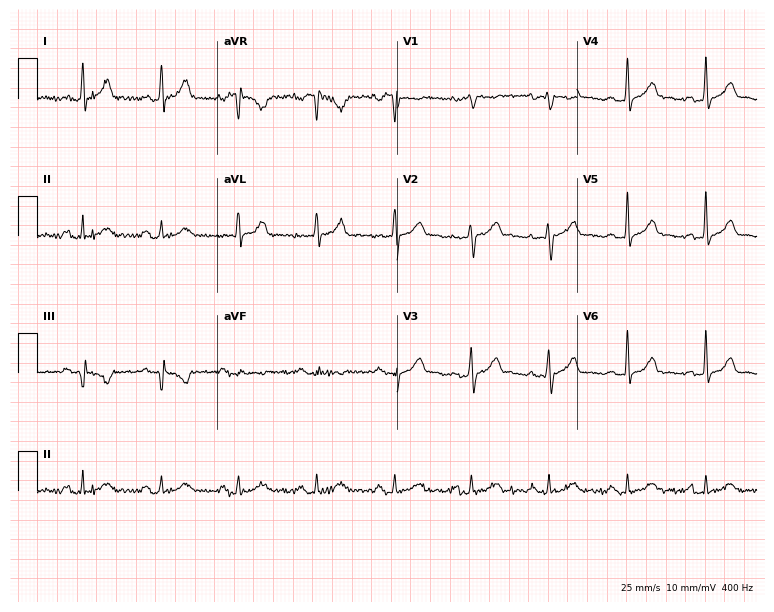
Resting 12-lead electrocardiogram (7.3-second recording at 400 Hz). Patient: a male, 33 years old. Read as a normal ECG.